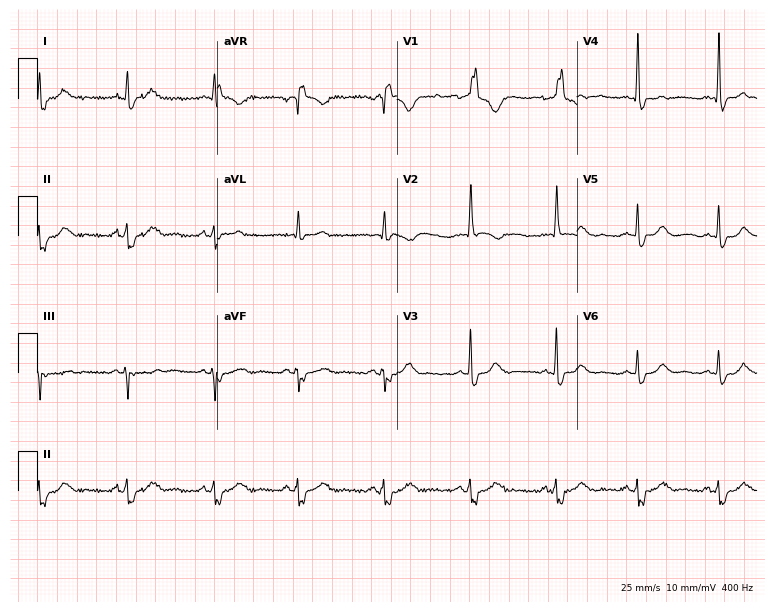
Standard 12-lead ECG recorded from a woman, 38 years old (7.3-second recording at 400 Hz). None of these six findings is recorded: first-degree AV block, right bundle branch block, left bundle branch block, sinus bradycardia, atrial fibrillation, sinus tachycardia. Findings outside these six are not listed.